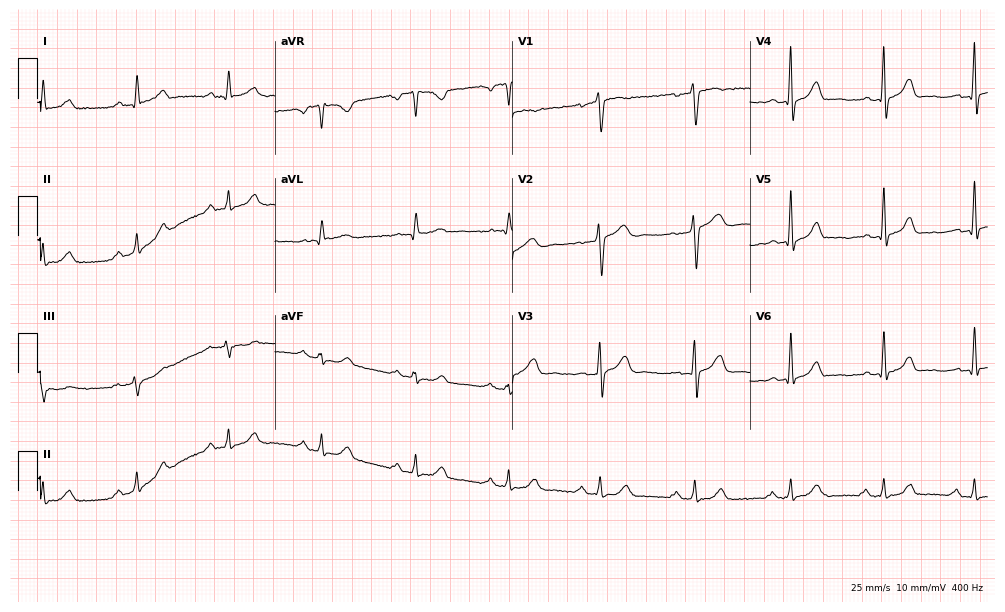
Standard 12-lead ECG recorded from a female, 49 years old (9.7-second recording at 400 Hz). None of these six findings is recorded: first-degree AV block, right bundle branch block, left bundle branch block, sinus bradycardia, atrial fibrillation, sinus tachycardia. Findings outside these six are not listed.